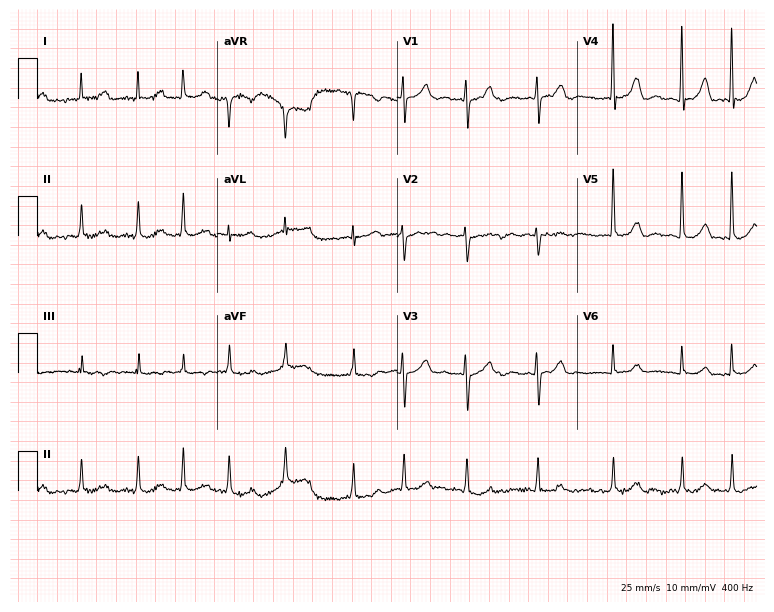
Standard 12-lead ECG recorded from an 80-year-old woman. The tracing shows atrial fibrillation.